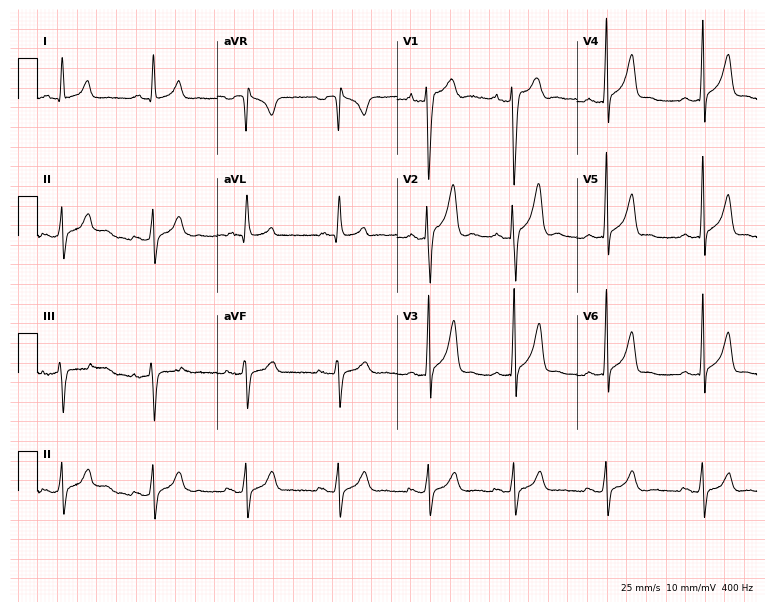
12-lead ECG from a man, 26 years old. Recorded interpretation: within normal limits.